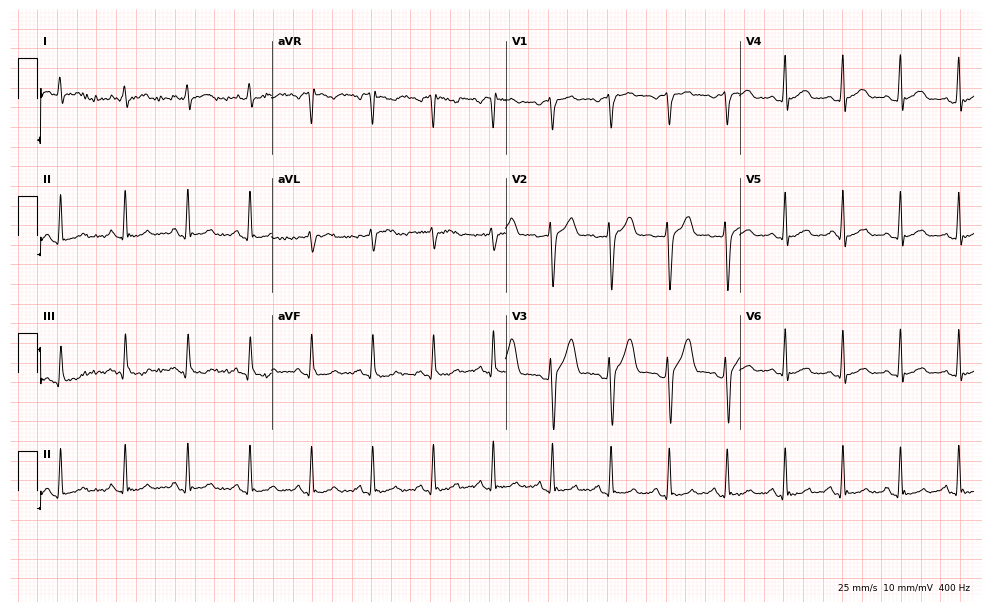
12-lead ECG (9.5-second recording at 400 Hz) from a 31-year-old male. Labelled as a normal ECG.